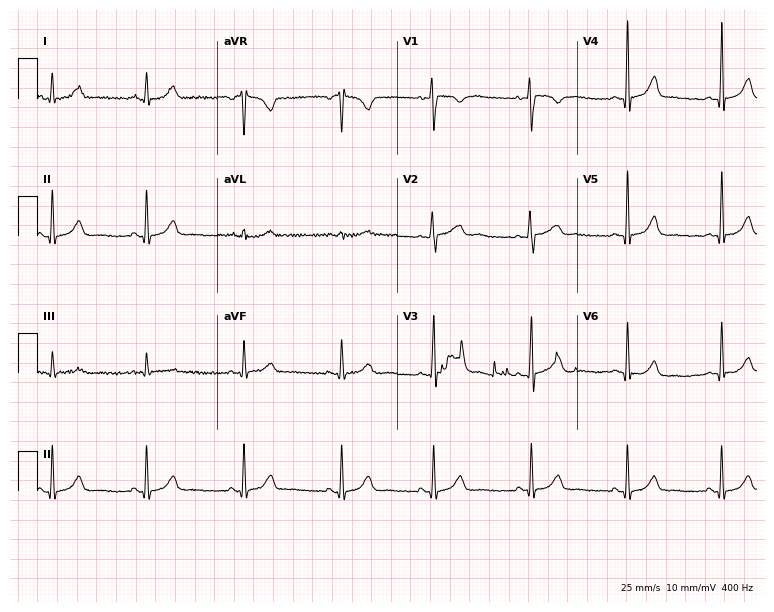
12-lead ECG from a female patient, 21 years old. Labelled as a normal ECG.